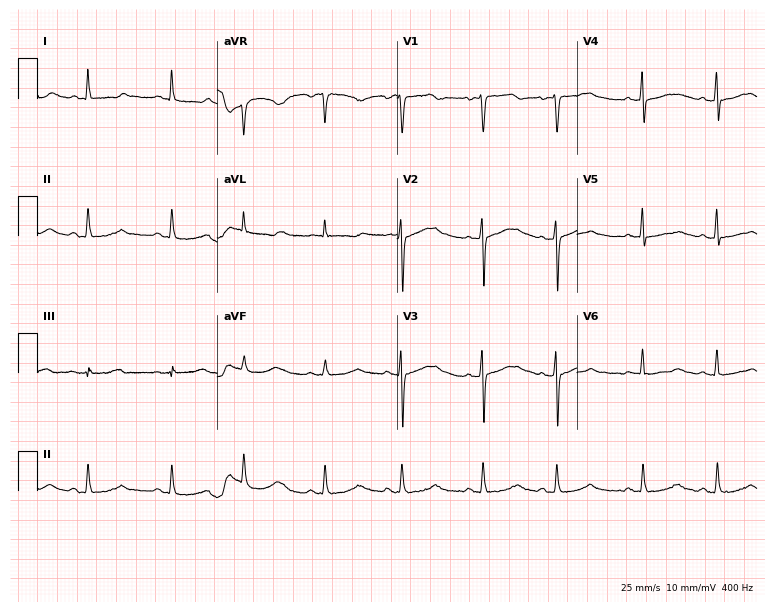
12-lead ECG from a woman, 83 years old (7.3-second recording at 400 Hz). Recorded interpretation: within normal limits.